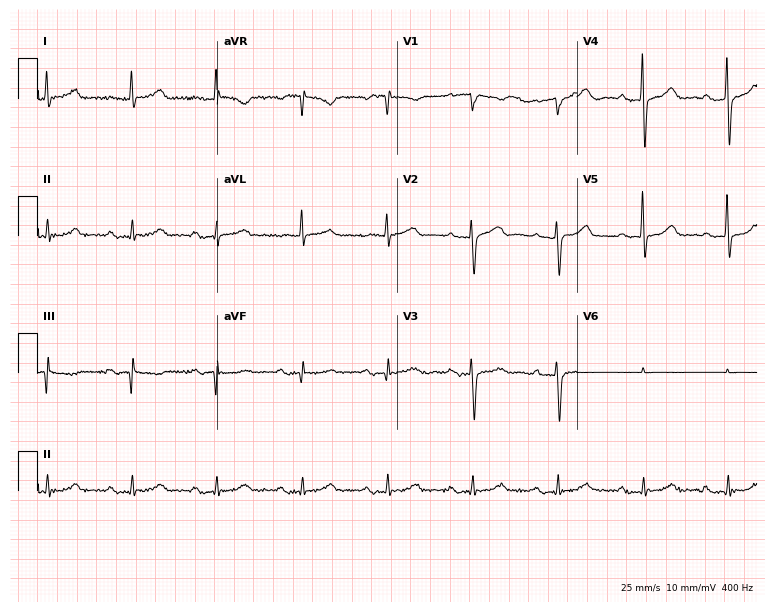
12-lead ECG from a male, 80 years old (7.3-second recording at 400 Hz). Shows first-degree AV block.